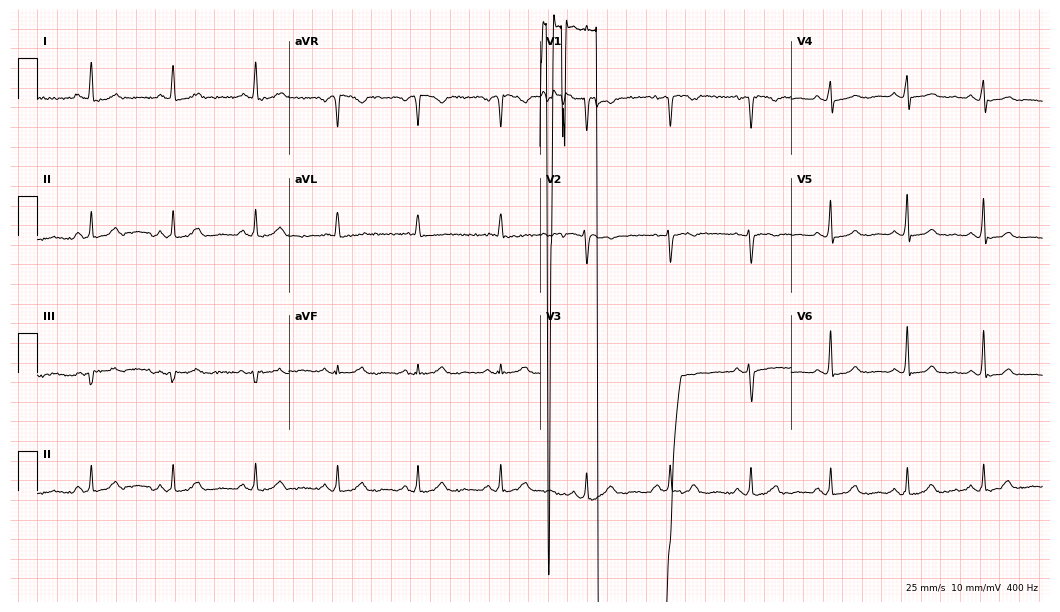
ECG — a woman, 39 years old. Labelled as a normal ECG.